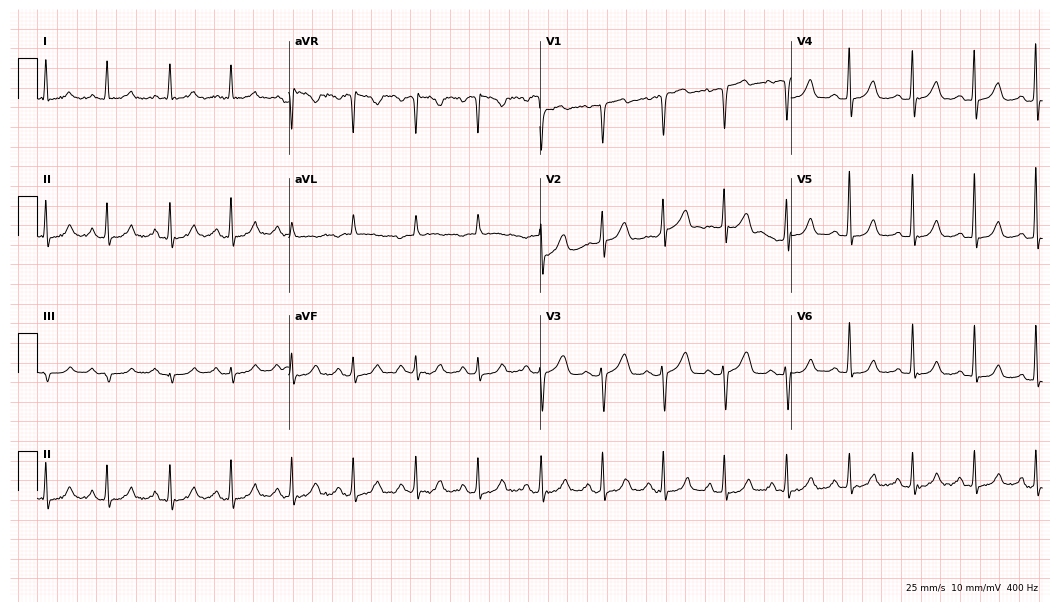
12-lead ECG (10.2-second recording at 400 Hz) from a 66-year-old woman. Screened for six findings — first-degree AV block, right bundle branch block, left bundle branch block, sinus bradycardia, atrial fibrillation, sinus tachycardia — none is recorded. Other findings, if any, are not listed.